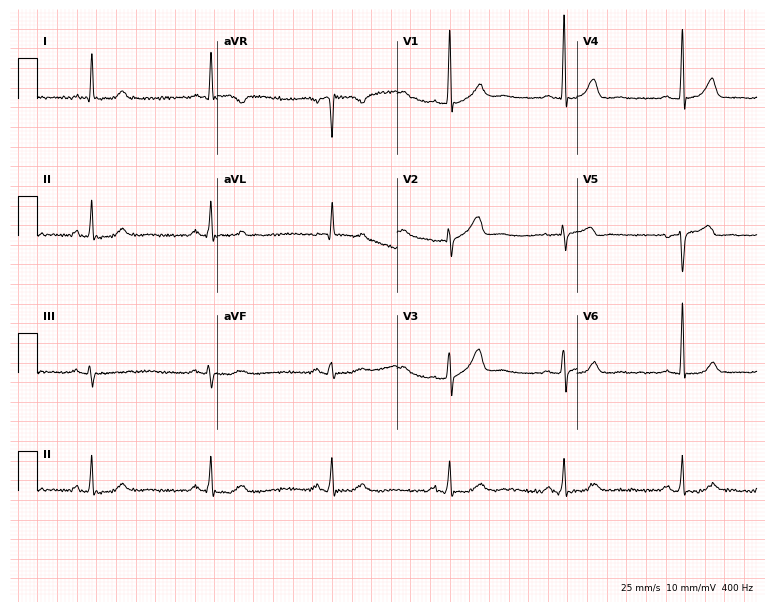
Resting 12-lead electrocardiogram (7.3-second recording at 400 Hz). Patient: a 76-year-old male. None of these six findings is recorded: first-degree AV block, right bundle branch block, left bundle branch block, sinus bradycardia, atrial fibrillation, sinus tachycardia.